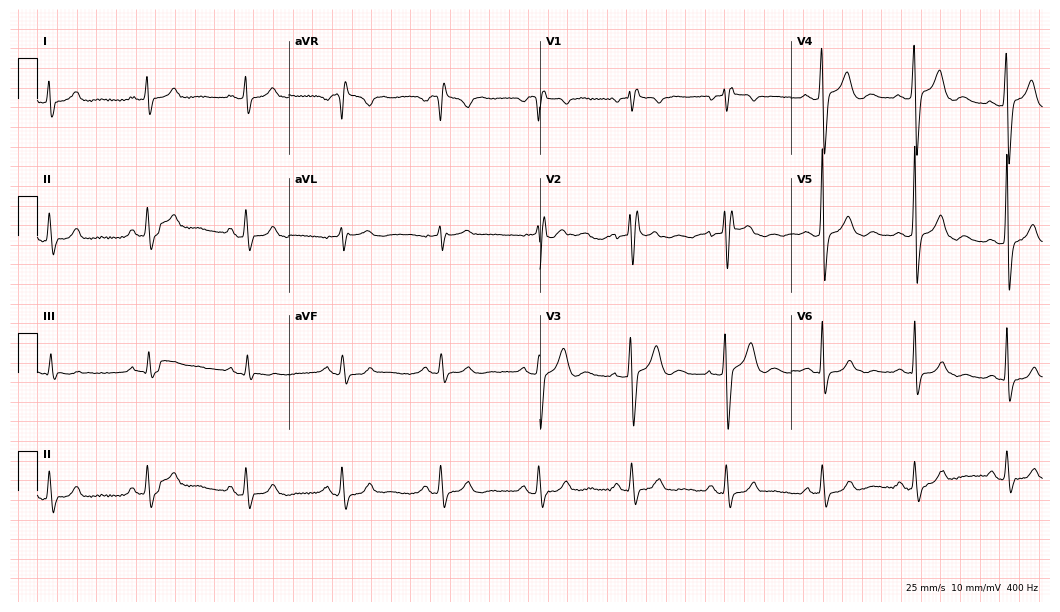
ECG — a man, 38 years old. Screened for six findings — first-degree AV block, right bundle branch block, left bundle branch block, sinus bradycardia, atrial fibrillation, sinus tachycardia — none is recorded.